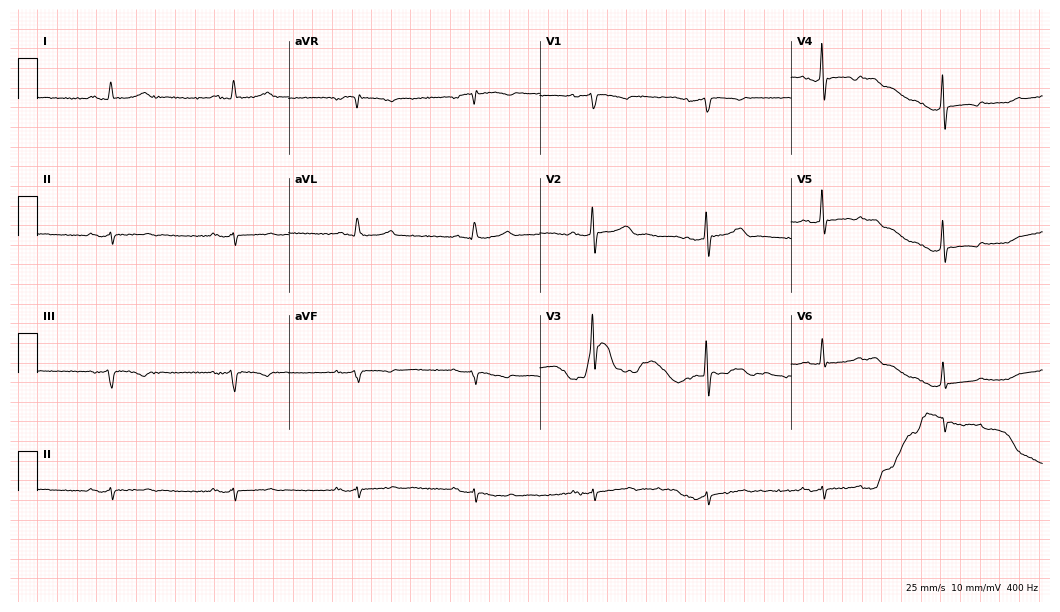
ECG — a man, 71 years old. Screened for six findings — first-degree AV block, right bundle branch block, left bundle branch block, sinus bradycardia, atrial fibrillation, sinus tachycardia — none is recorded.